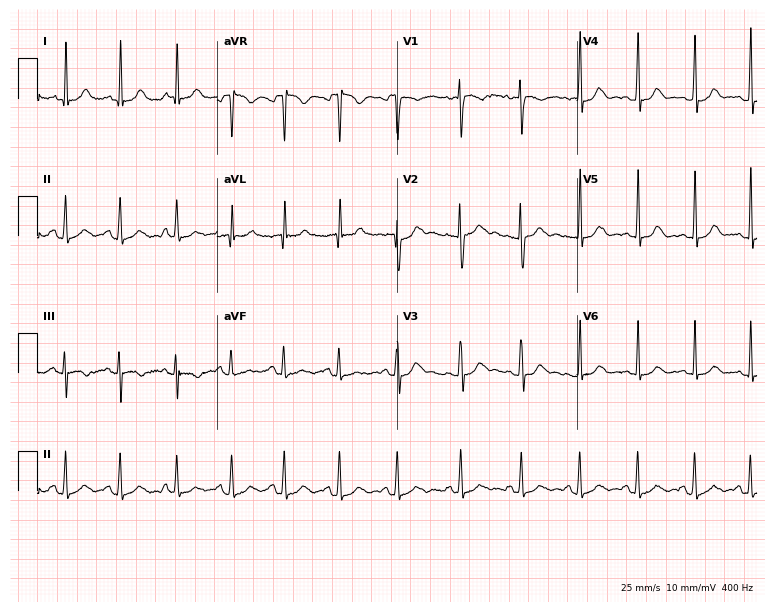
Resting 12-lead electrocardiogram. Patient: a 19-year-old woman. The tracing shows sinus tachycardia (a sinus rate of 100 beats per minute or more).